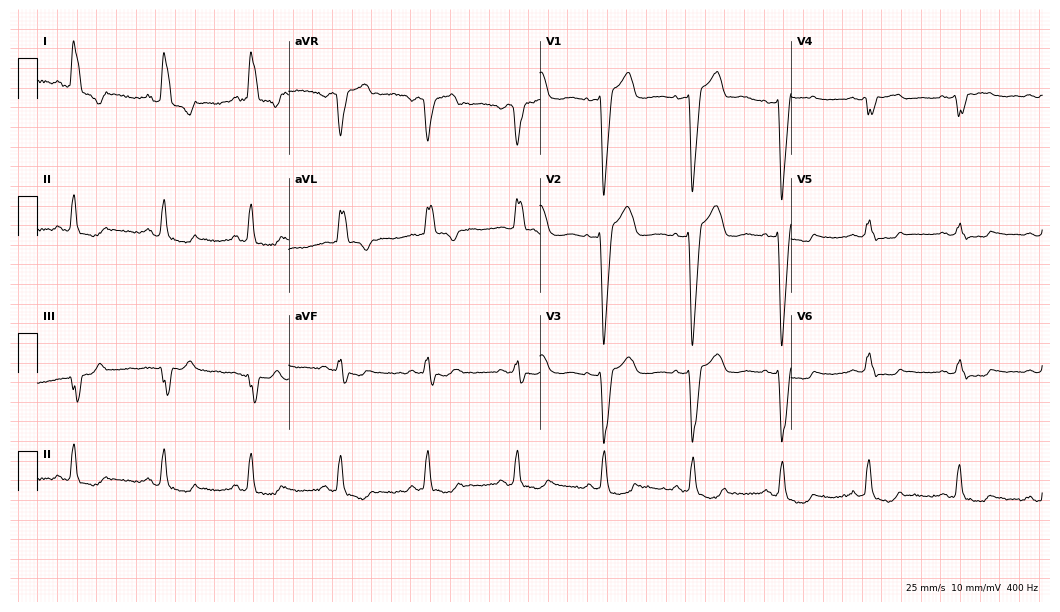
12-lead ECG from a female patient, 73 years old. Findings include left bundle branch block.